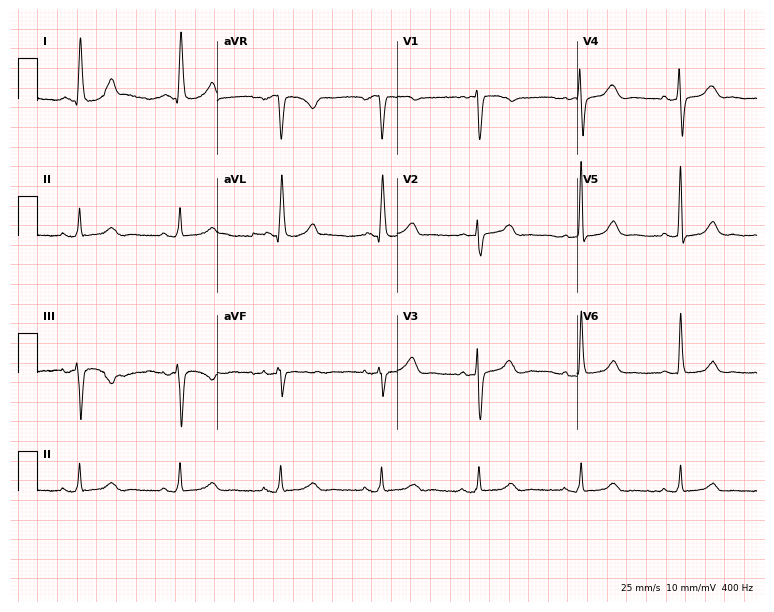
12-lead ECG (7.3-second recording at 400 Hz) from a 69-year-old female patient. Labelled as a normal ECG.